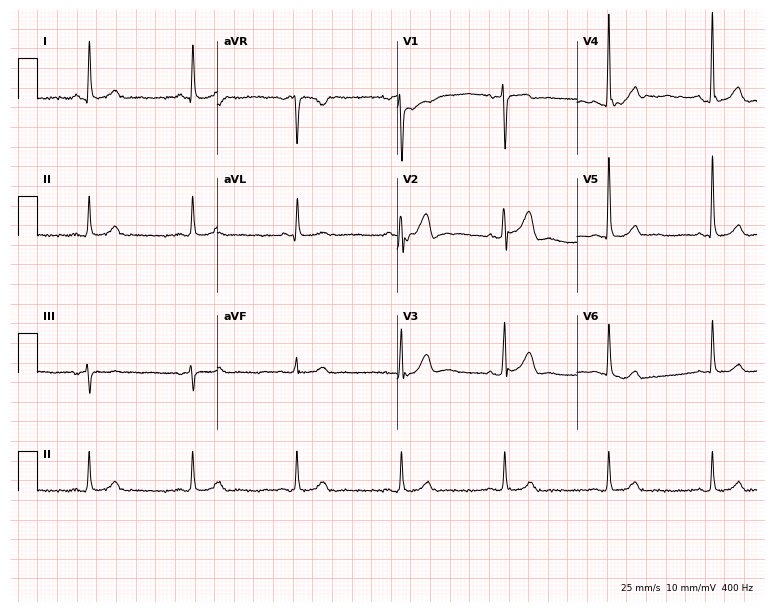
ECG (7.3-second recording at 400 Hz) — a male, 72 years old. Screened for six findings — first-degree AV block, right bundle branch block, left bundle branch block, sinus bradycardia, atrial fibrillation, sinus tachycardia — none is recorded.